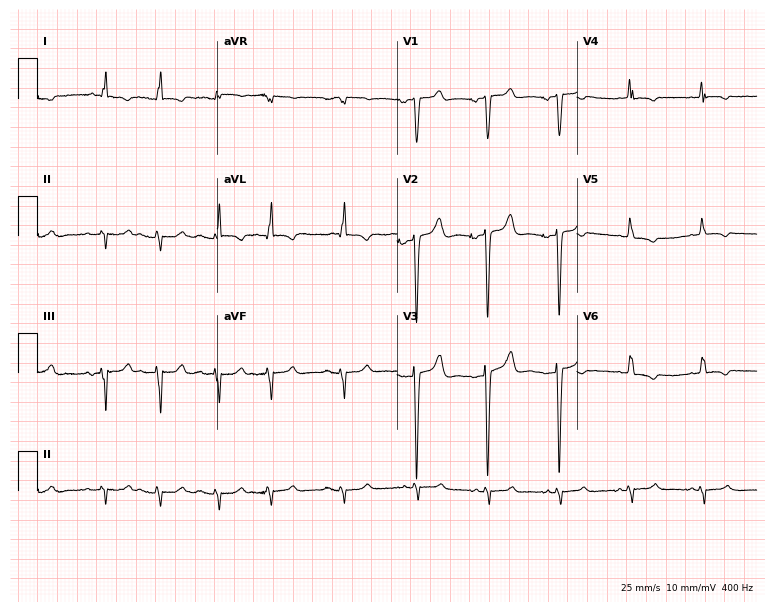
12-lead ECG from a female patient, 74 years old (7.3-second recording at 400 Hz). No first-degree AV block, right bundle branch block (RBBB), left bundle branch block (LBBB), sinus bradycardia, atrial fibrillation (AF) or sinus tachycardia recorded for this tracing. Only these six findings were labelled.